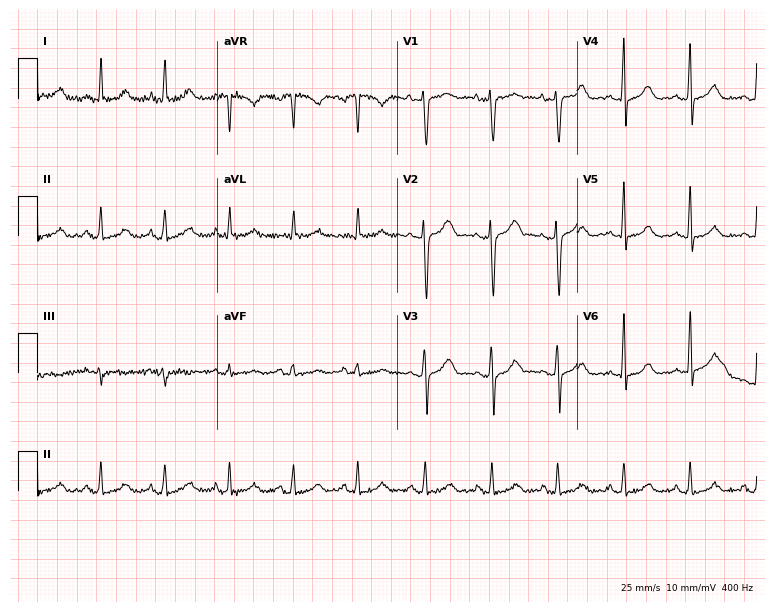
12-lead ECG from a female patient, 40 years old (7.3-second recording at 400 Hz). No first-degree AV block, right bundle branch block, left bundle branch block, sinus bradycardia, atrial fibrillation or sinus tachycardia recorded for this tracing. Findings outside these six are not listed.